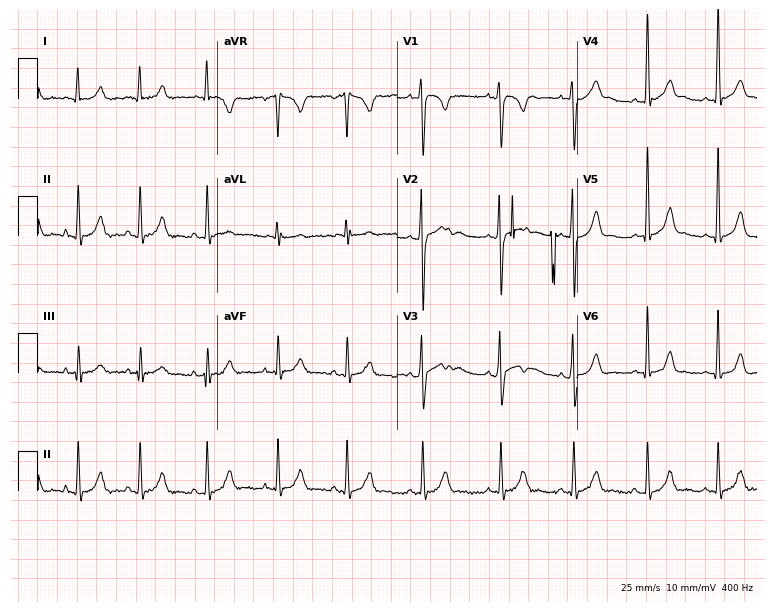
Electrocardiogram (7.3-second recording at 400 Hz), a 24-year-old male patient. Overall reading on record: normal ECG.